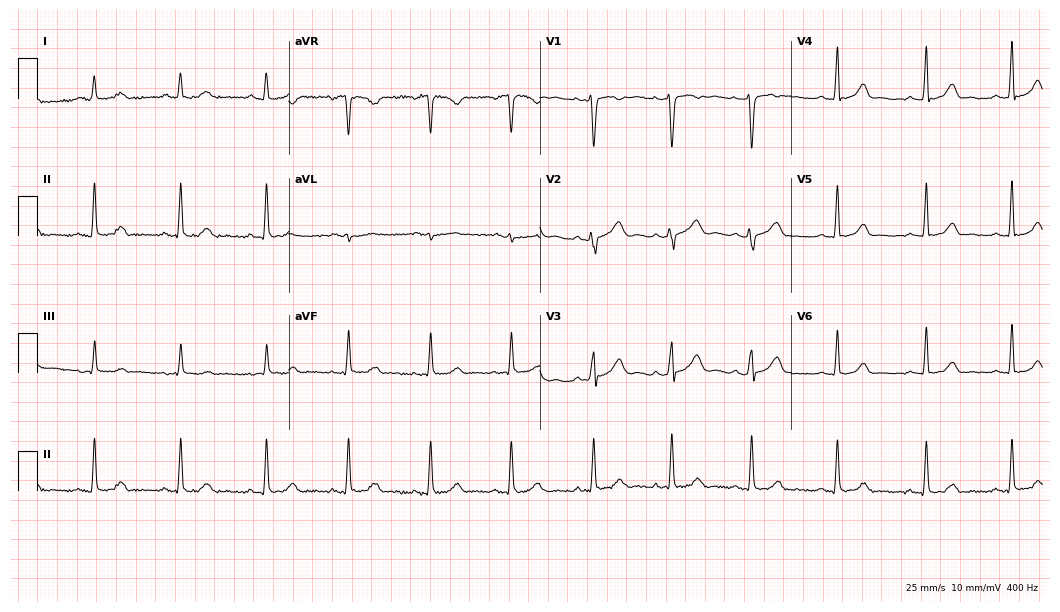
Resting 12-lead electrocardiogram. Patient: a female, 27 years old. Read as a normal ECG.